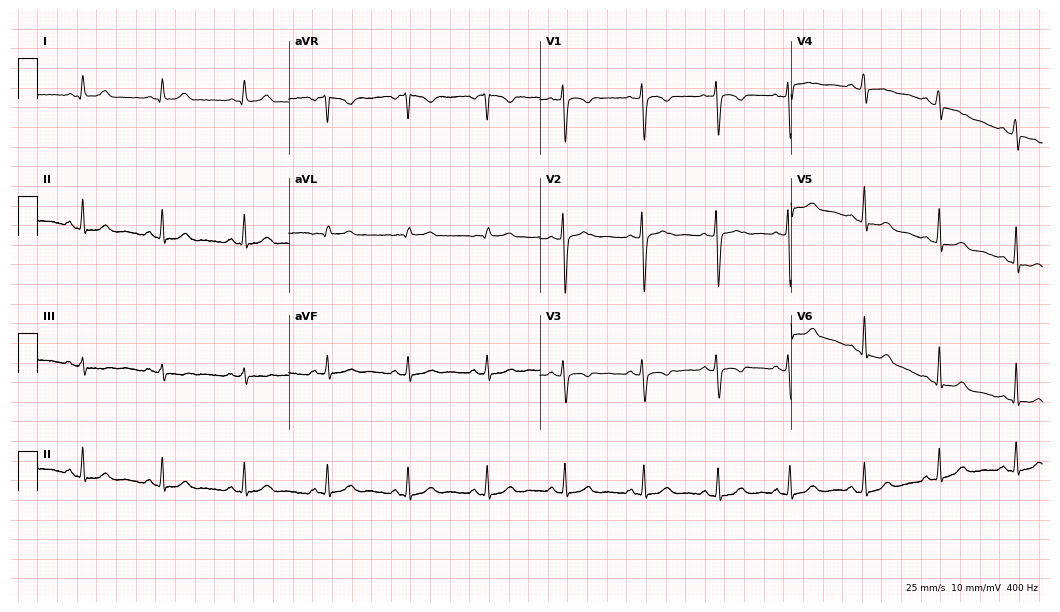
12-lead ECG from a woman, 35 years old. Labelled as a normal ECG.